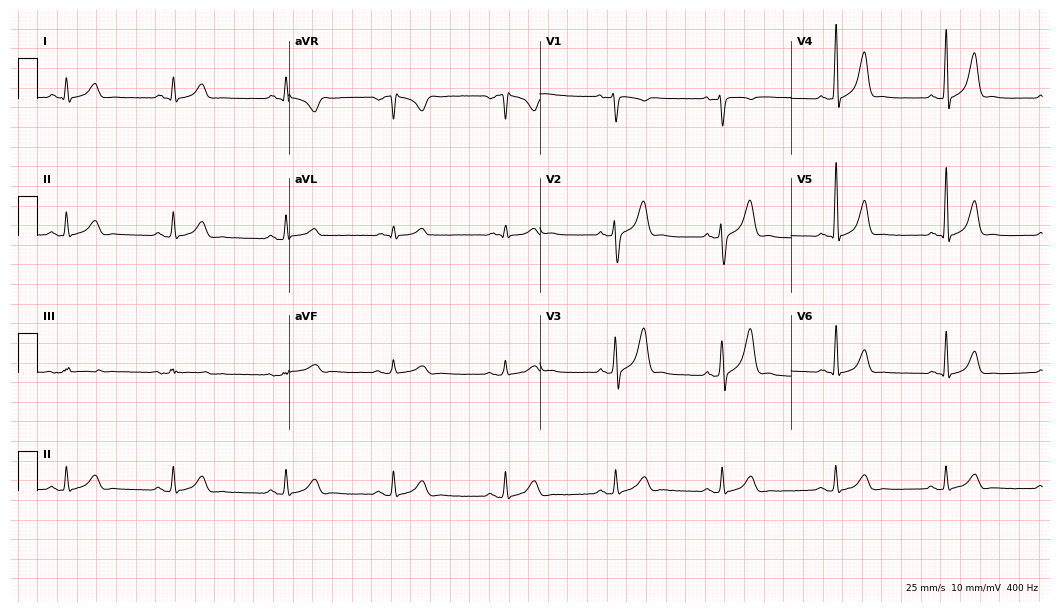
Electrocardiogram, a 41-year-old male. Of the six screened findings (first-degree AV block, right bundle branch block, left bundle branch block, sinus bradycardia, atrial fibrillation, sinus tachycardia), none is recorded.